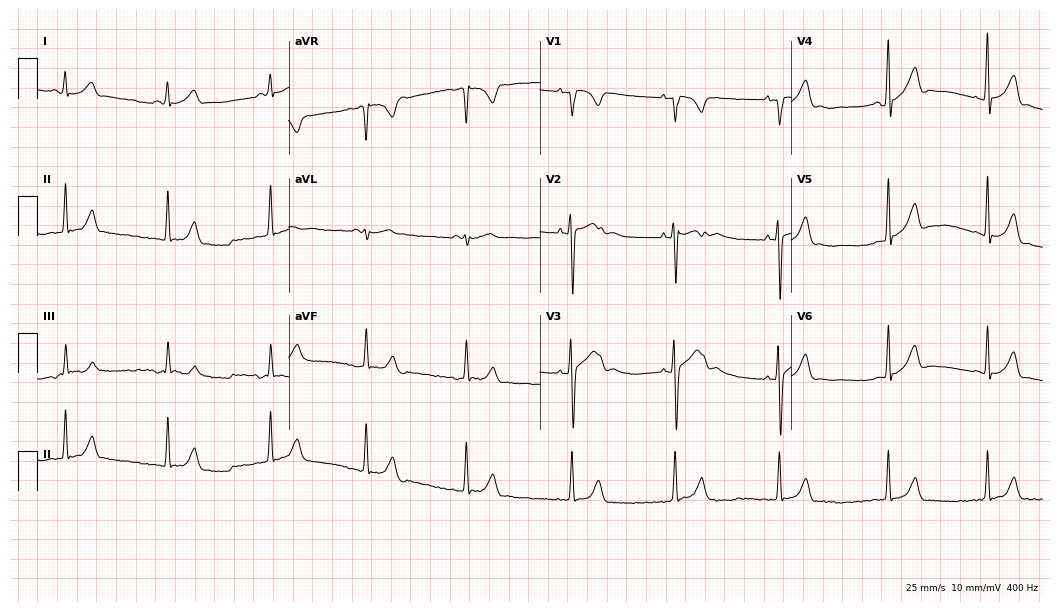
Resting 12-lead electrocardiogram. Patient: a 23-year-old man. Read as a normal ECG.